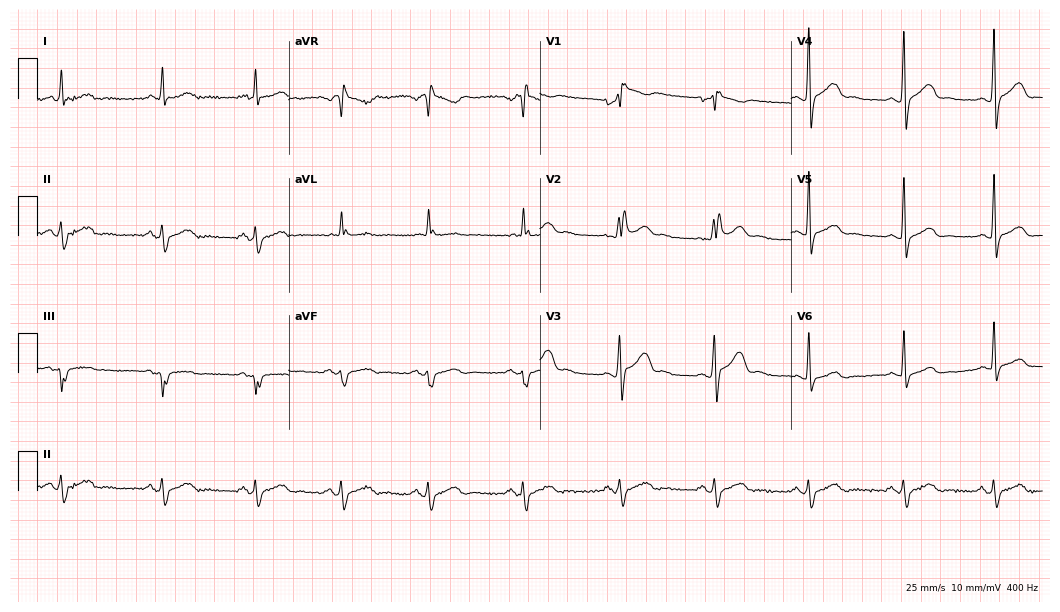
12-lead ECG from a man, 38 years old. Findings include right bundle branch block.